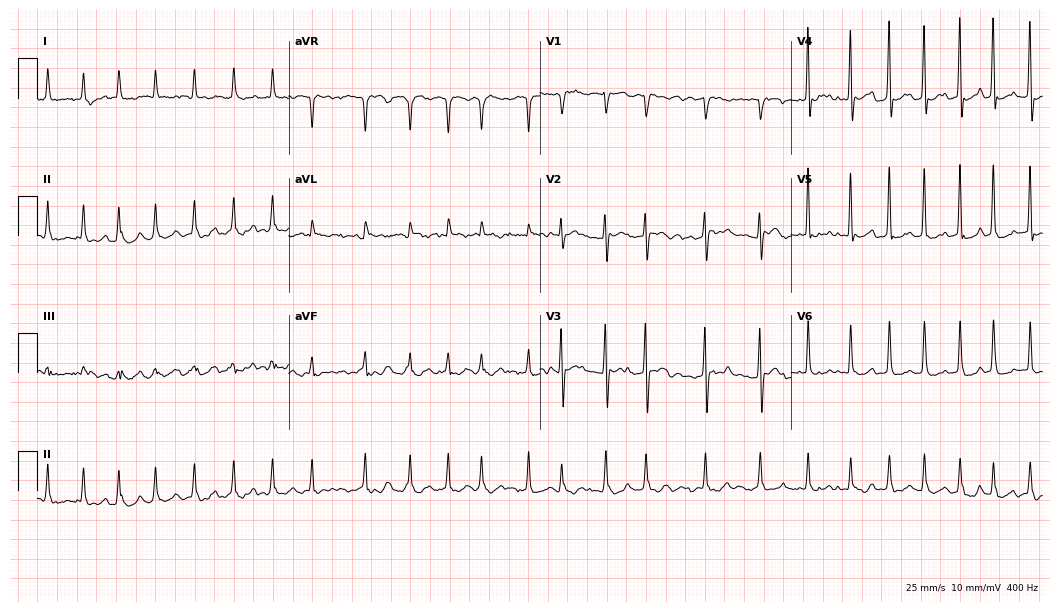
12-lead ECG from a 79-year-old female patient. Findings include atrial fibrillation.